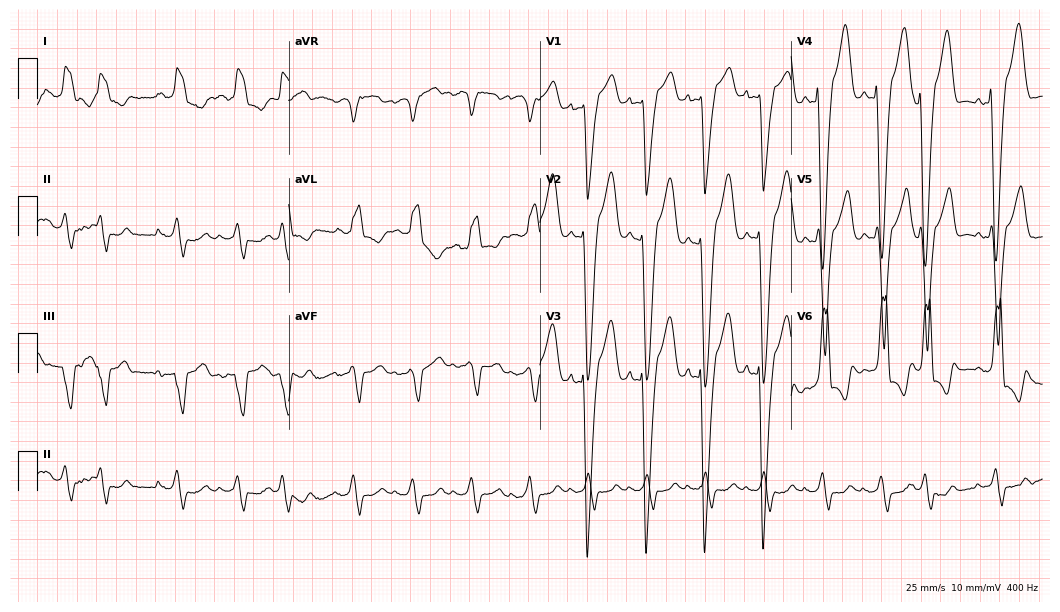
ECG (10.2-second recording at 400 Hz) — a 73-year-old male patient. Findings include left bundle branch block.